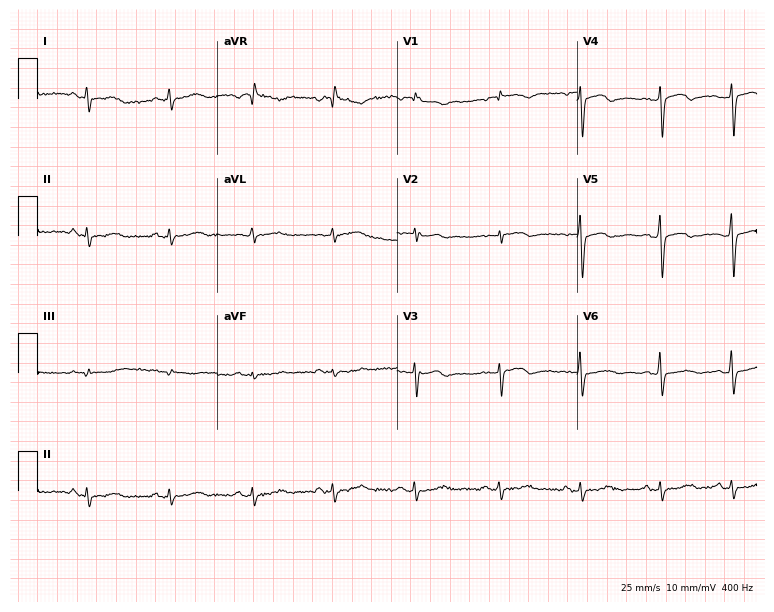
Resting 12-lead electrocardiogram (7.3-second recording at 400 Hz). Patient: a female, 53 years old. None of these six findings is recorded: first-degree AV block, right bundle branch block, left bundle branch block, sinus bradycardia, atrial fibrillation, sinus tachycardia.